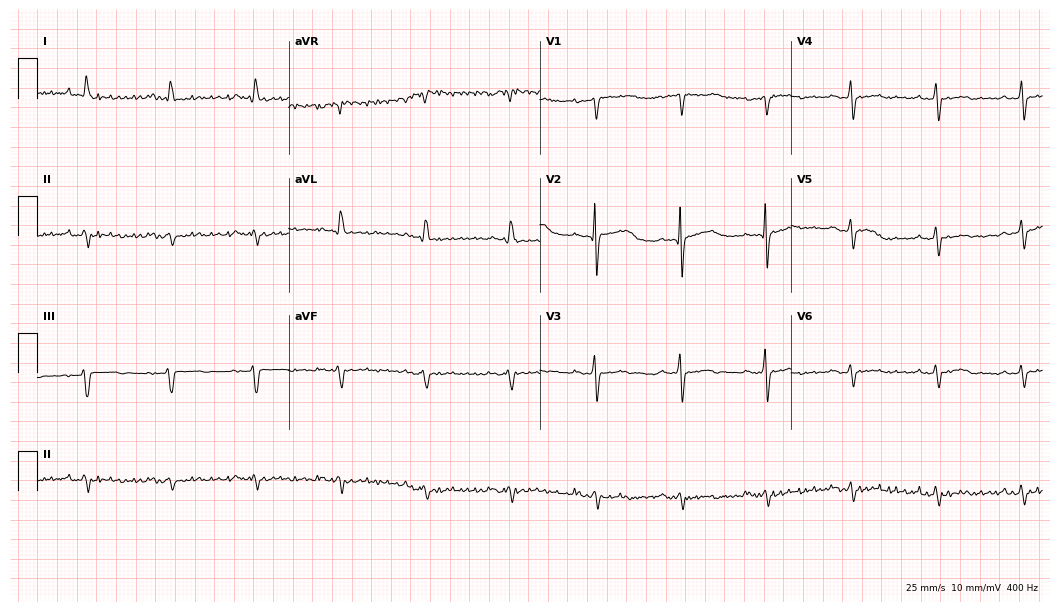
ECG (10.2-second recording at 400 Hz) — a 68-year-old man. Screened for six findings — first-degree AV block, right bundle branch block, left bundle branch block, sinus bradycardia, atrial fibrillation, sinus tachycardia — none is recorded.